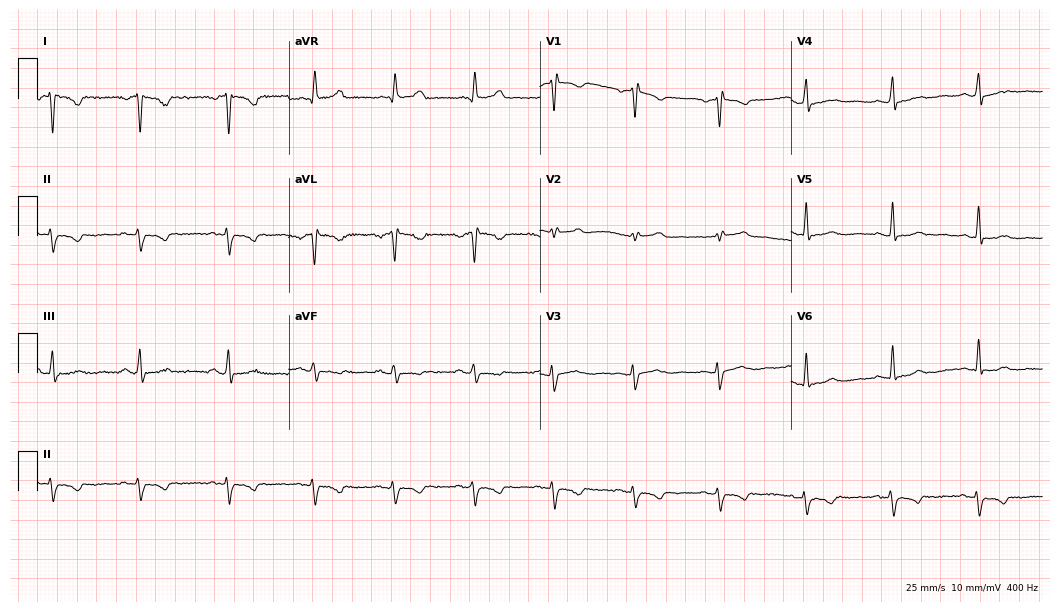
Standard 12-lead ECG recorded from a 45-year-old female. None of these six findings is recorded: first-degree AV block, right bundle branch block, left bundle branch block, sinus bradycardia, atrial fibrillation, sinus tachycardia.